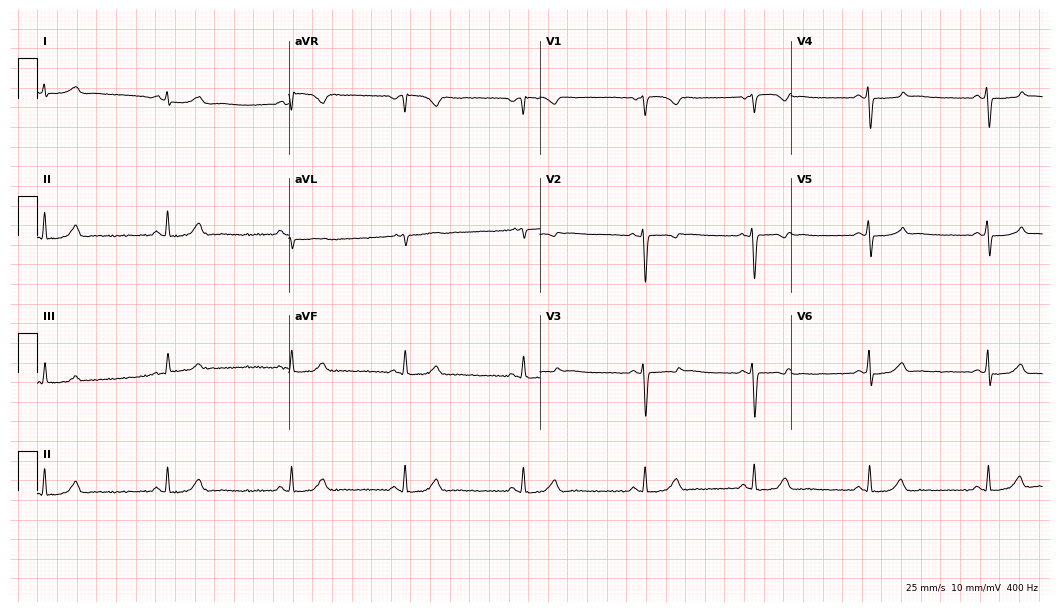
Resting 12-lead electrocardiogram. Patient: a female, 31 years old. The tracing shows sinus bradycardia (a sinus rate of 50 beats per minute or less).